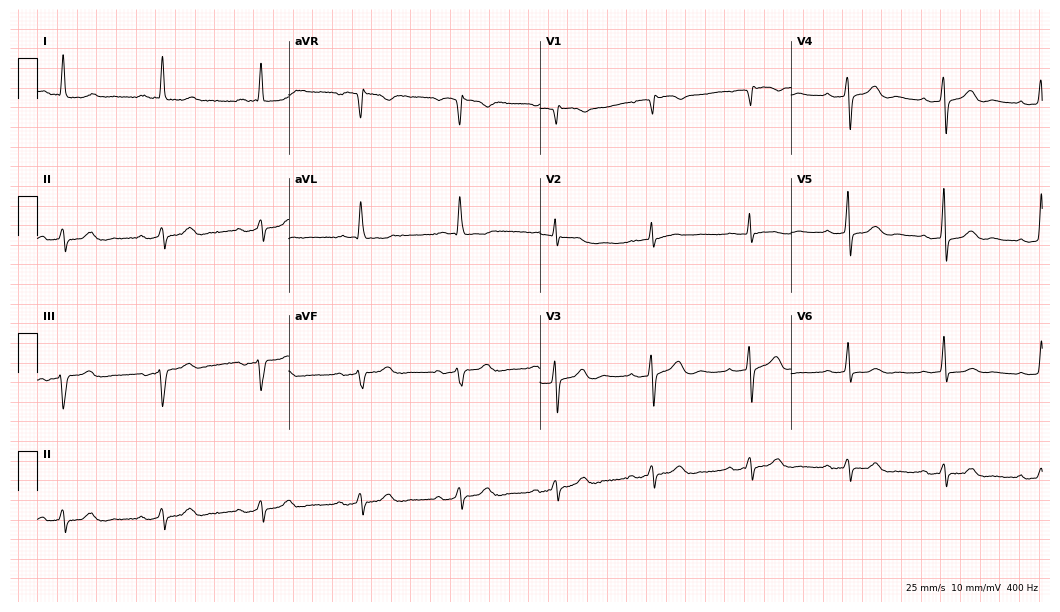
ECG (10.2-second recording at 400 Hz) — a female patient, 80 years old. Screened for six findings — first-degree AV block, right bundle branch block (RBBB), left bundle branch block (LBBB), sinus bradycardia, atrial fibrillation (AF), sinus tachycardia — none is recorded.